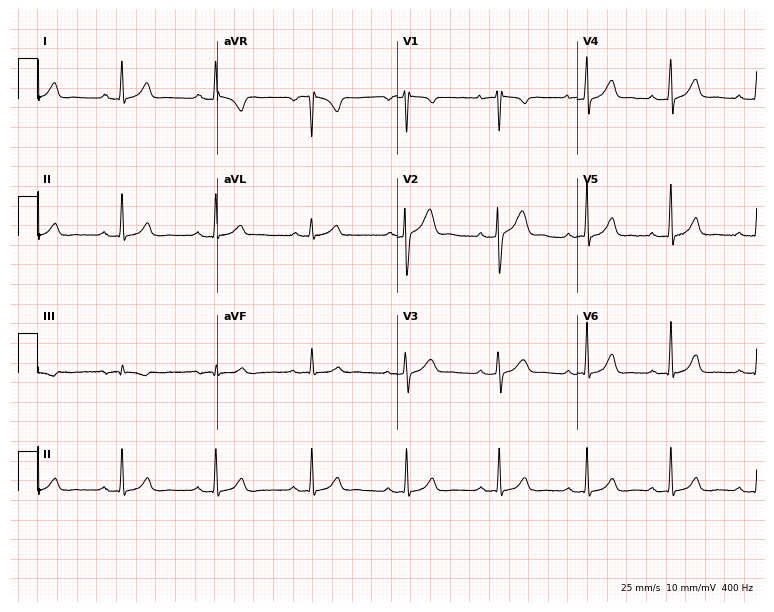
ECG (7.3-second recording at 400 Hz) — a 35-year-old female patient. Screened for six findings — first-degree AV block, right bundle branch block (RBBB), left bundle branch block (LBBB), sinus bradycardia, atrial fibrillation (AF), sinus tachycardia — none is recorded.